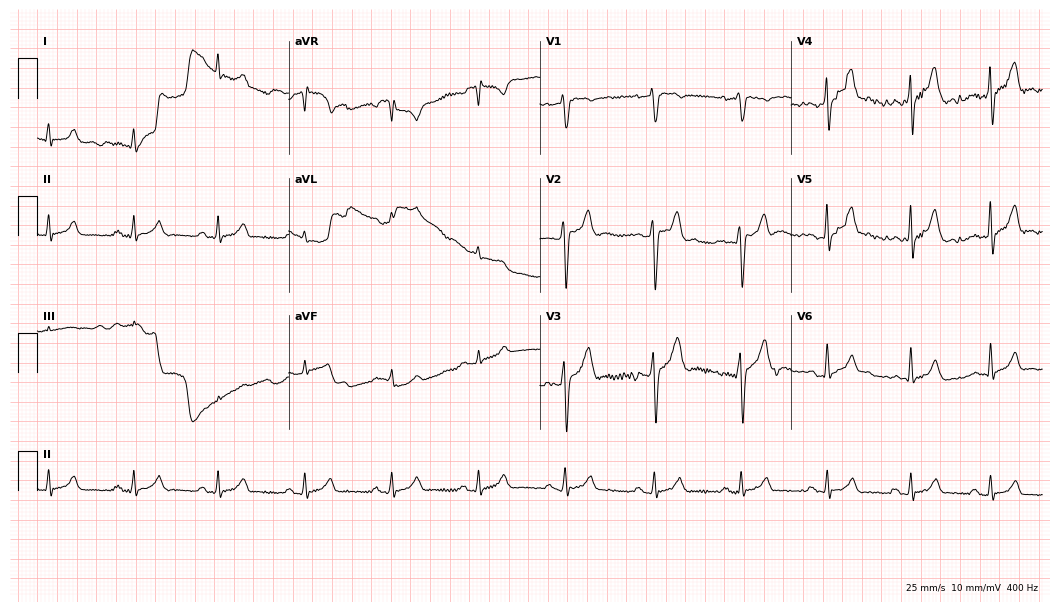
ECG (10.2-second recording at 400 Hz) — a man, 36 years old. Labelled as a normal ECG.